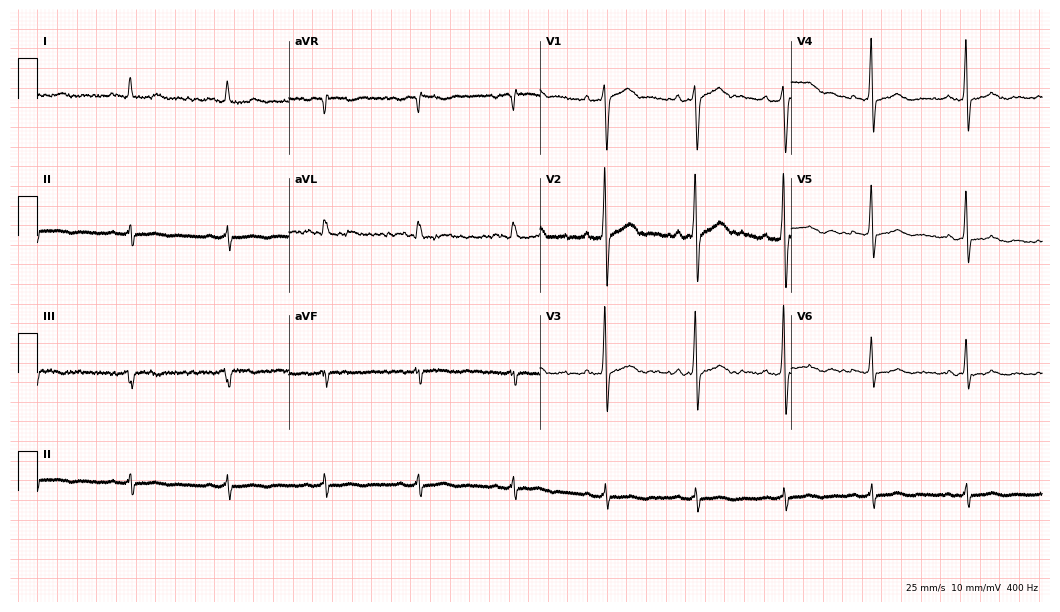
ECG (10.2-second recording at 400 Hz) — a 51-year-old man. Labelled as a normal ECG.